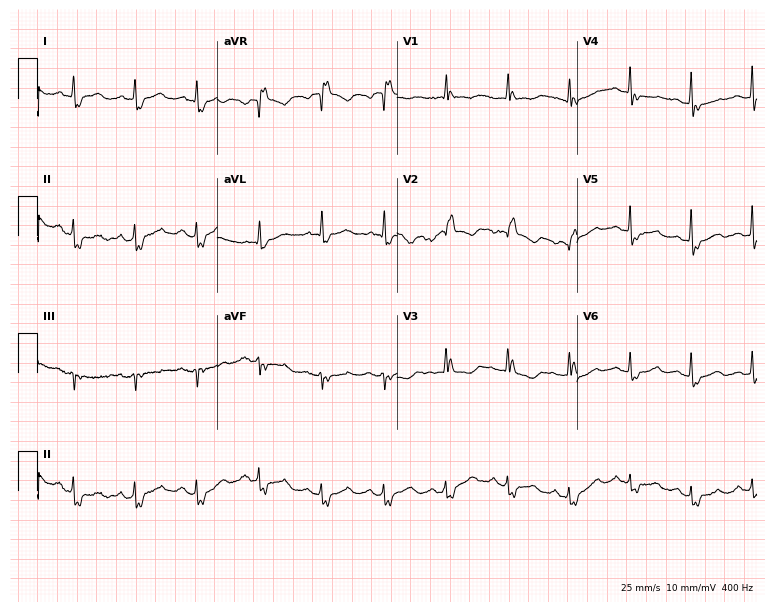
Resting 12-lead electrocardiogram (7.3-second recording at 400 Hz). Patient: a female, 71 years old. The tracing shows right bundle branch block (RBBB).